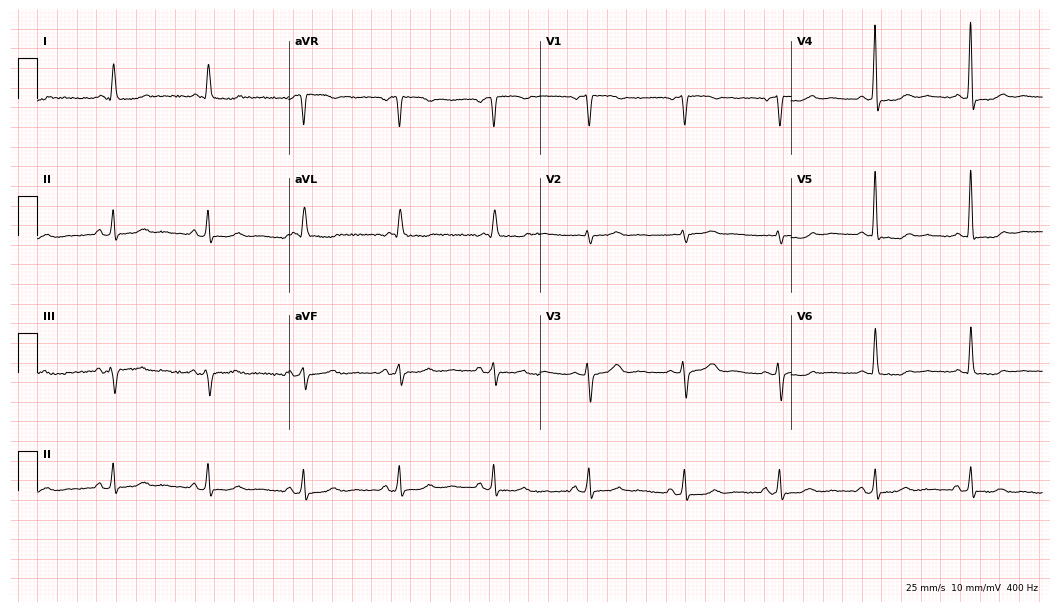
Electrocardiogram (10.2-second recording at 400 Hz), a 75-year-old female patient. Of the six screened findings (first-degree AV block, right bundle branch block (RBBB), left bundle branch block (LBBB), sinus bradycardia, atrial fibrillation (AF), sinus tachycardia), none is recorded. Only these six findings were labelled.